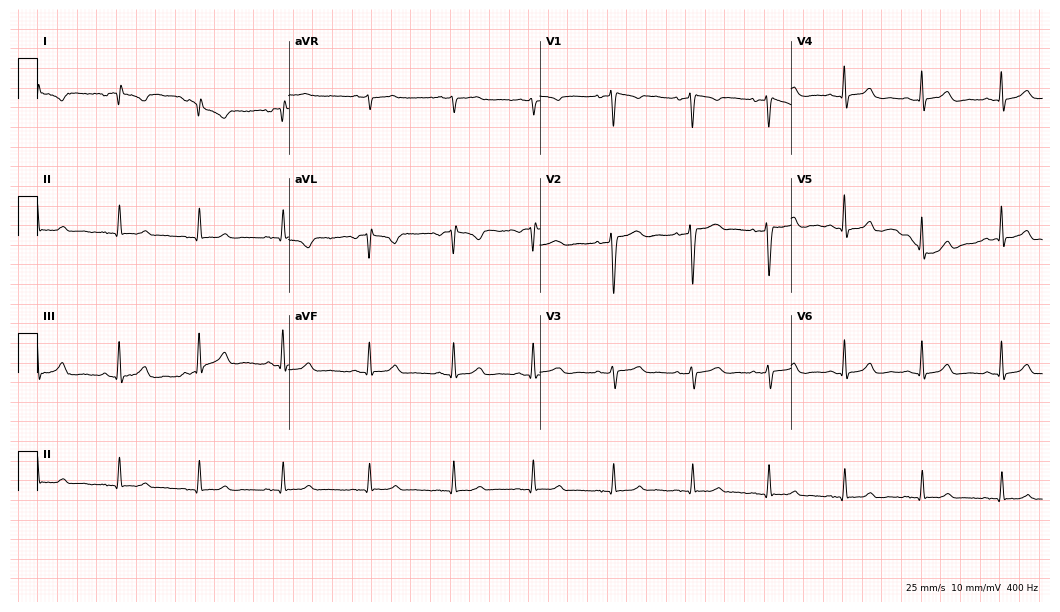
Electrocardiogram, a woman, 41 years old. Of the six screened findings (first-degree AV block, right bundle branch block, left bundle branch block, sinus bradycardia, atrial fibrillation, sinus tachycardia), none is recorded. Only these six findings were labelled.